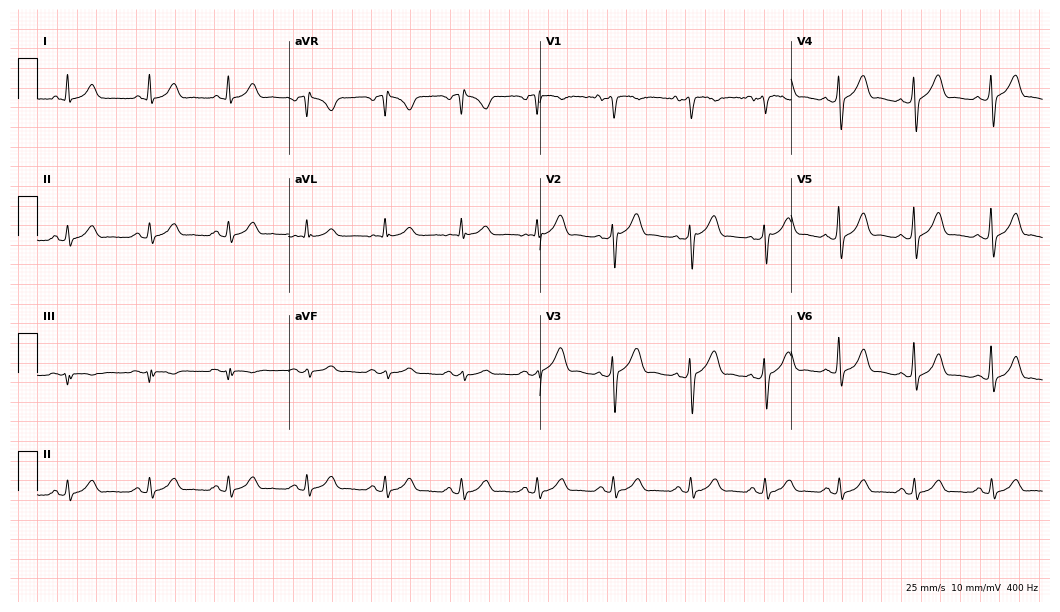
12-lead ECG from a man, 37 years old. Recorded interpretation: within normal limits.